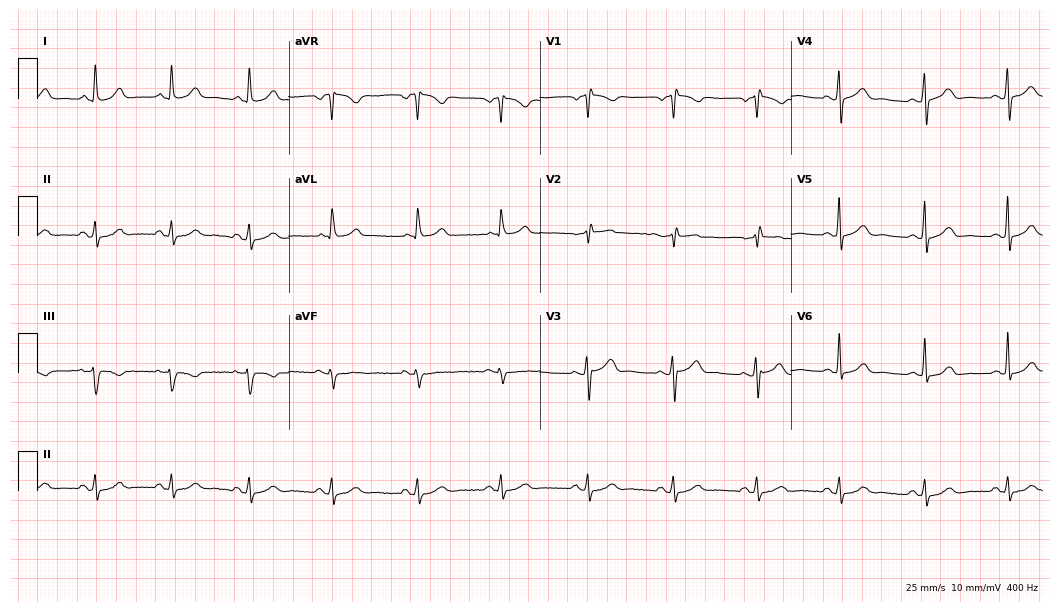
Electrocardiogram (10.2-second recording at 400 Hz), a man, 49 years old. Overall reading on record: normal ECG.